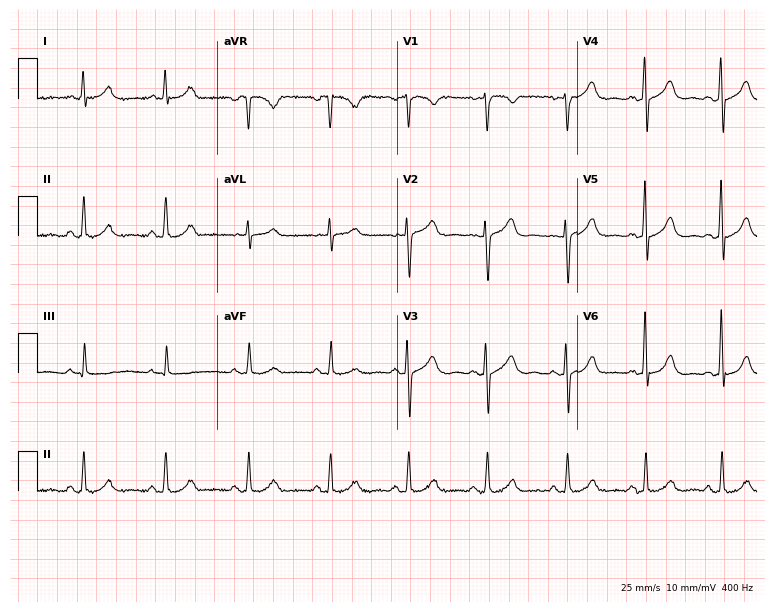
ECG — a woman, 49 years old. Screened for six findings — first-degree AV block, right bundle branch block, left bundle branch block, sinus bradycardia, atrial fibrillation, sinus tachycardia — none is recorded. Other findings, if any, are not listed.